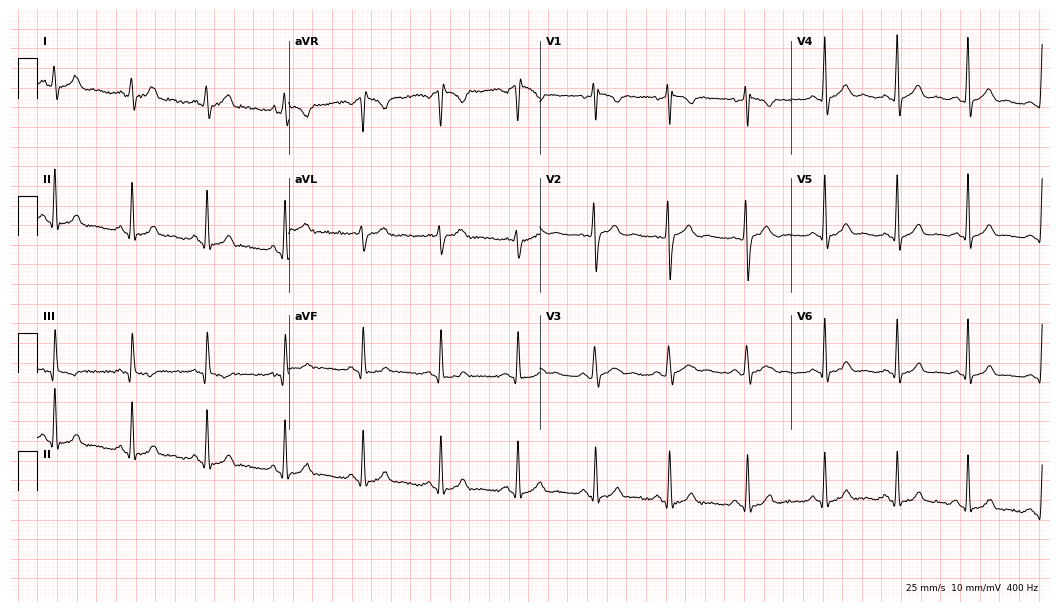
ECG (10.2-second recording at 400 Hz) — a 25-year-old male. Screened for six findings — first-degree AV block, right bundle branch block, left bundle branch block, sinus bradycardia, atrial fibrillation, sinus tachycardia — none is recorded.